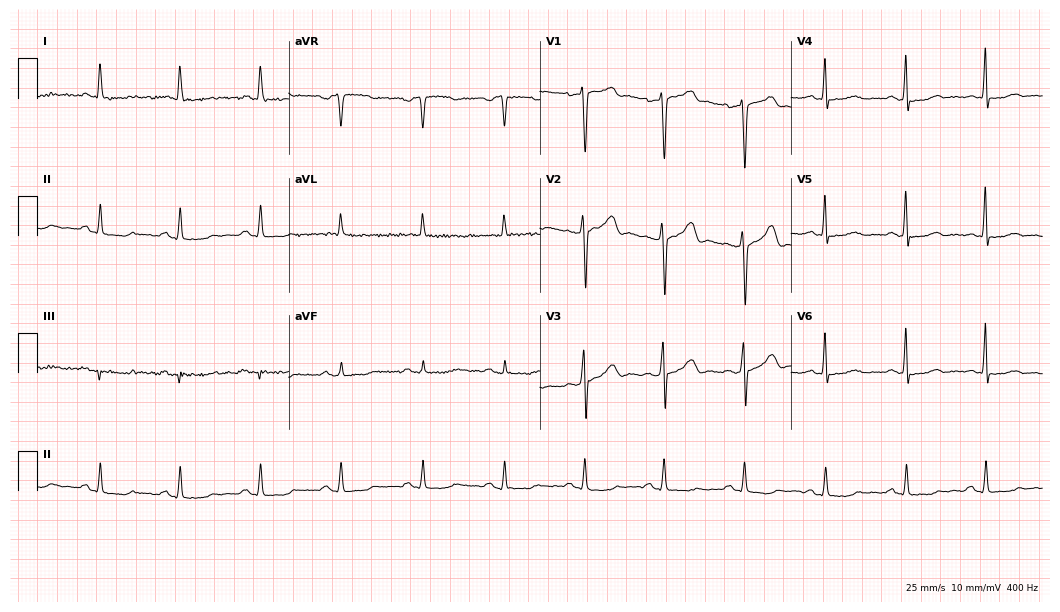
Standard 12-lead ECG recorded from a male, 54 years old (10.2-second recording at 400 Hz). None of these six findings is recorded: first-degree AV block, right bundle branch block, left bundle branch block, sinus bradycardia, atrial fibrillation, sinus tachycardia.